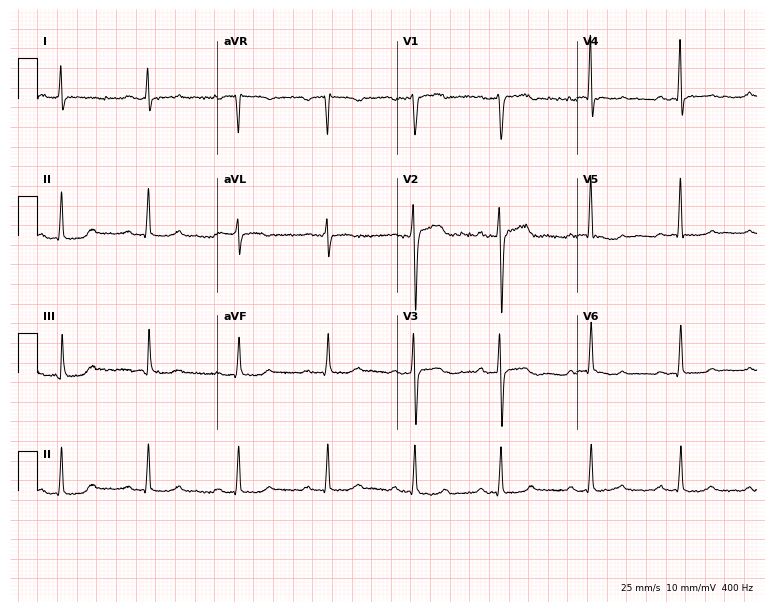
12-lead ECG from a man, 49 years old. No first-degree AV block, right bundle branch block, left bundle branch block, sinus bradycardia, atrial fibrillation or sinus tachycardia recorded for this tracing.